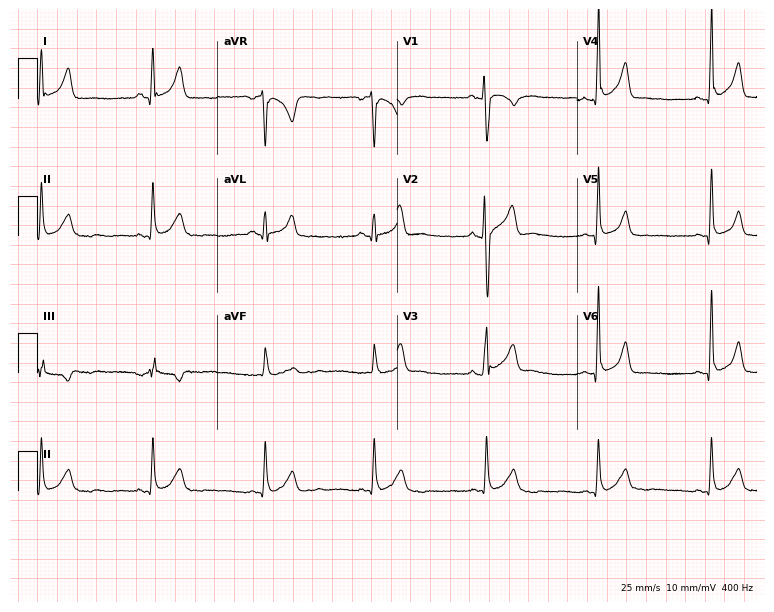
Standard 12-lead ECG recorded from a 24-year-old male. None of these six findings is recorded: first-degree AV block, right bundle branch block (RBBB), left bundle branch block (LBBB), sinus bradycardia, atrial fibrillation (AF), sinus tachycardia. Findings outside these six are not listed.